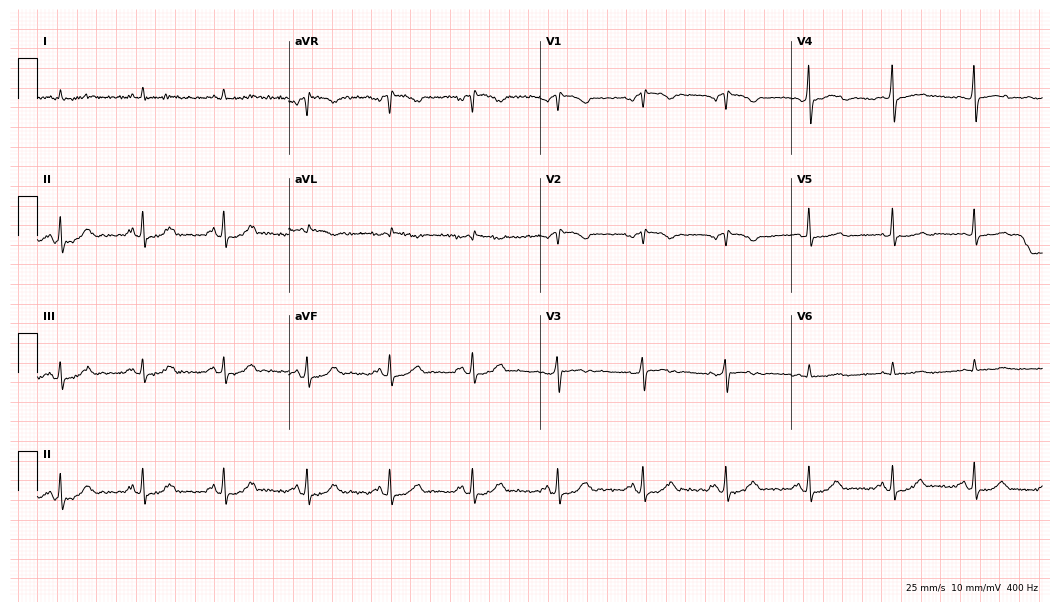
Standard 12-lead ECG recorded from a 67-year-old male. None of these six findings is recorded: first-degree AV block, right bundle branch block, left bundle branch block, sinus bradycardia, atrial fibrillation, sinus tachycardia.